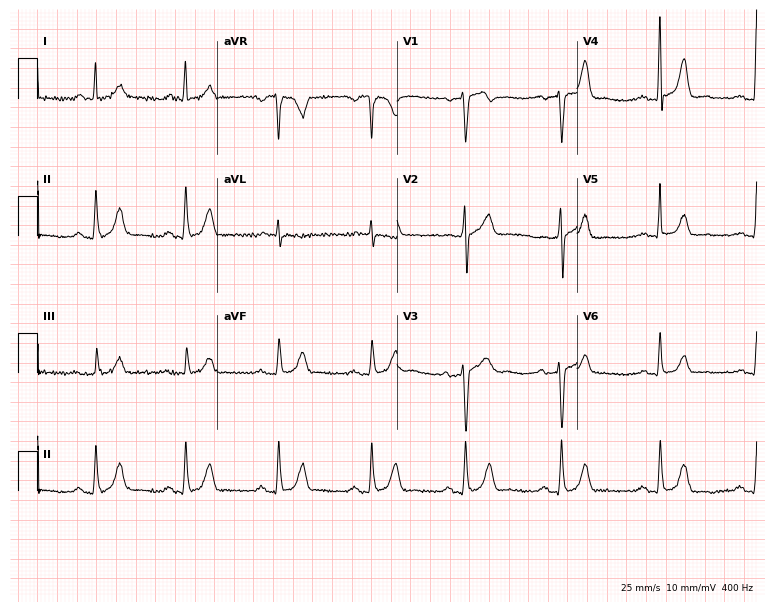
ECG (7.3-second recording at 400 Hz) — a male, 55 years old. Screened for six findings — first-degree AV block, right bundle branch block (RBBB), left bundle branch block (LBBB), sinus bradycardia, atrial fibrillation (AF), sinus tachycardia — none is recorded. Other findings, if any, are not listed.